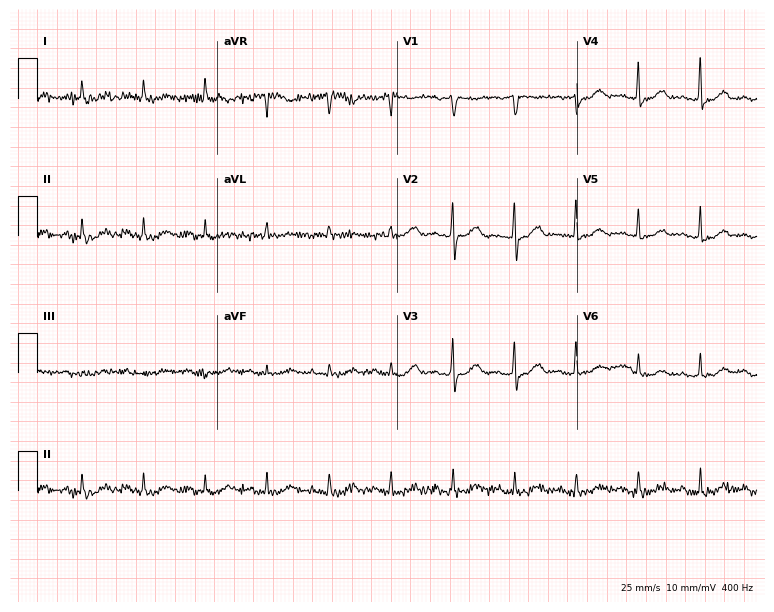
Standard 12-lead ECG recorded from an 86-year-old male patient. Read as a normal ECG.